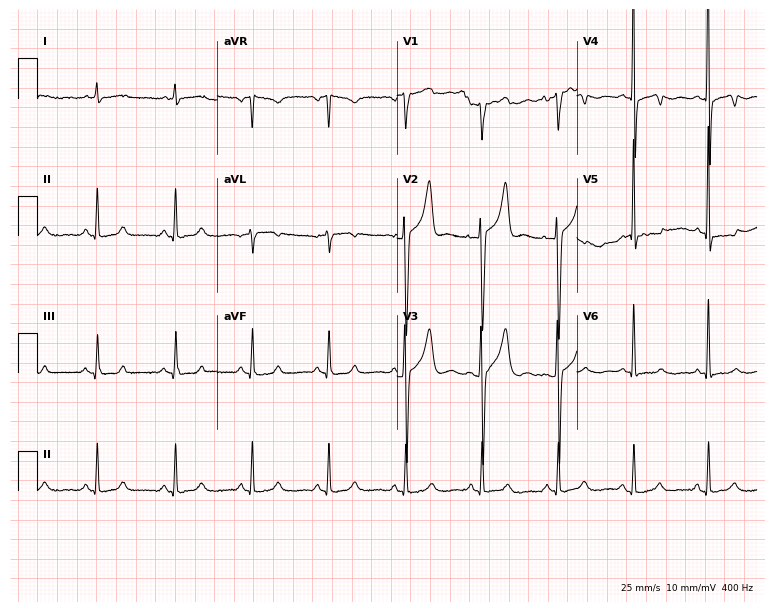
Electrocardiogram, a male patient, 62 years old. Of the six screened findings (first-degree AV block, right bundle branch block (RBBB), left bundle branch block (LBBB), sinus bradycardia, atrial fibrillation (AF), sinus tachycardia), none is recorded.